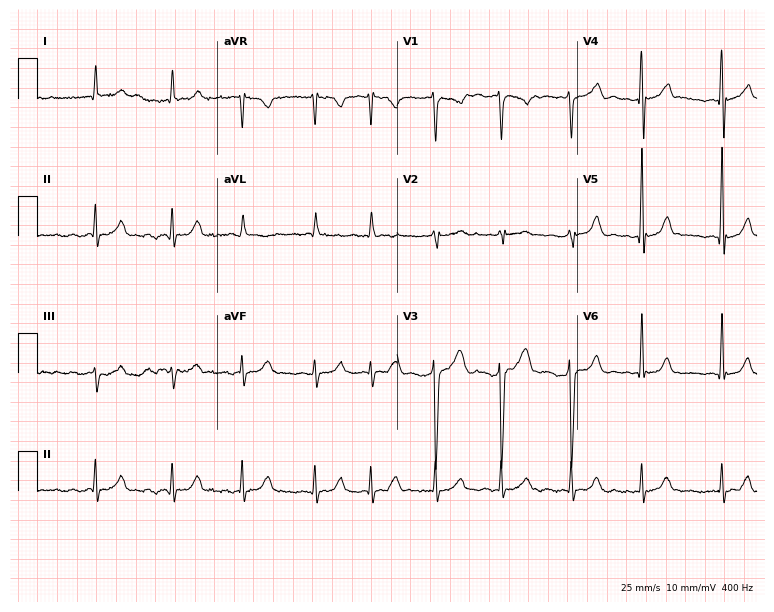
Electrocardiogram (7.3-second recording at 400 Hz), an 83-year-old male. Of the six screened findings (first-degree AV block, right bundle branch block, left bundle branch block, sinus bradycardia, atrial fibrillation, sinus tachycardia), none is recorded. Findings outside these six are not listed.